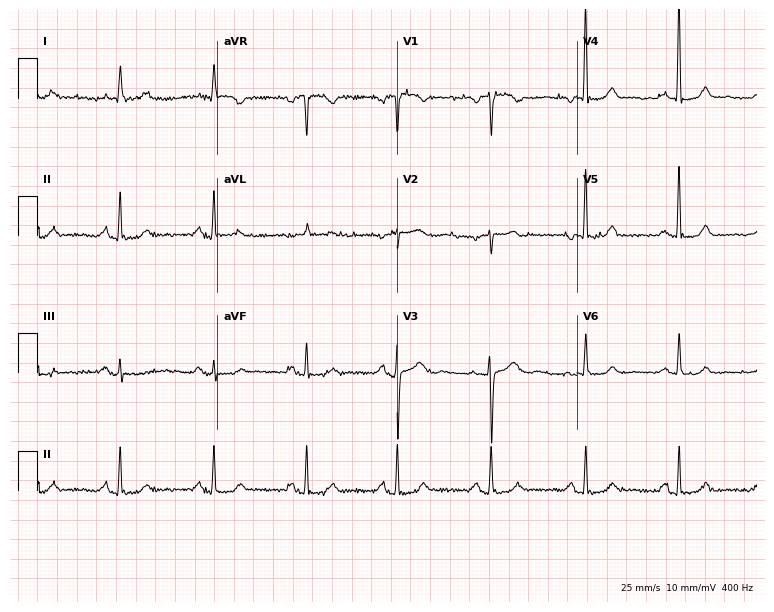
ECG — a 66-year-old female patient. Labelled as a normal ECG.